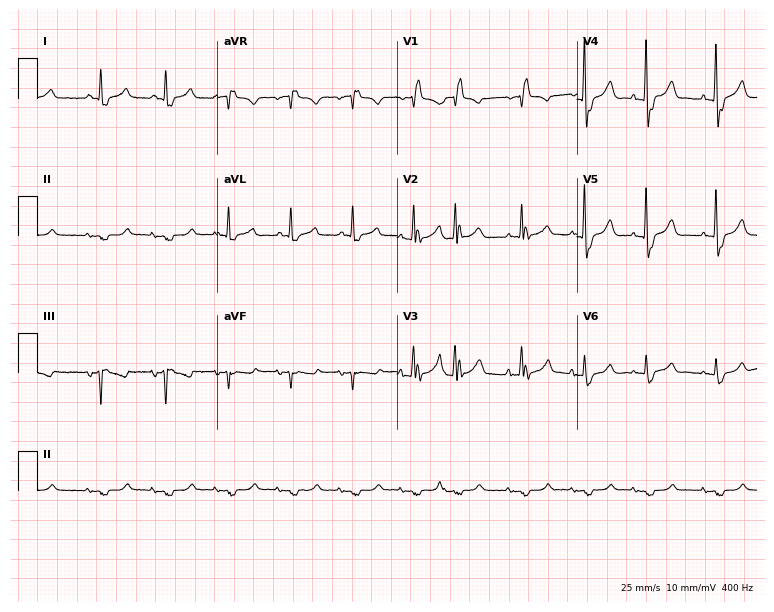
Electrocardiogram, an 82-year-old man. Of the six screened findings (first-degree AV block, right bundle branch block (RBBB), left bundle branch block (LBBB), sinus bradycardia, atrial fibrillation (AF), sinus tachycardia), none is recorded. Findings outside these six are not listed.